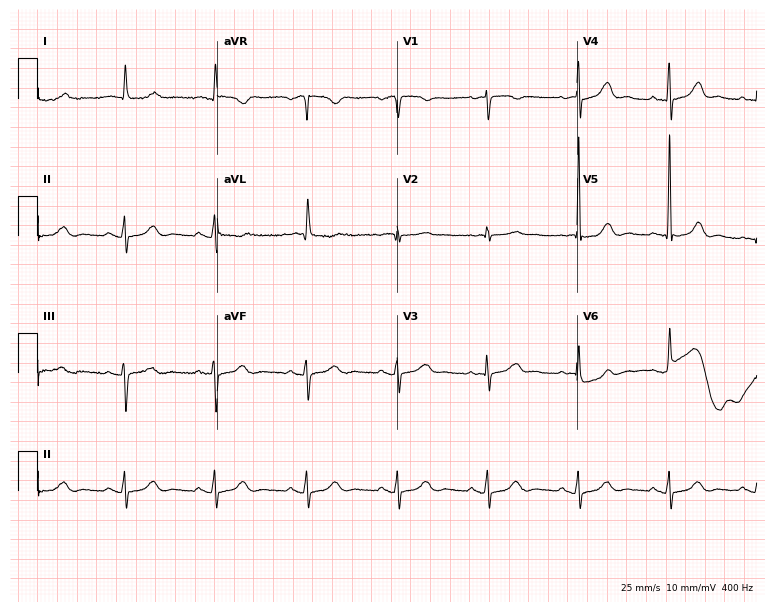
Resting 12-lead electrocardiogram. Patient: a 79-year-old female. None of these six findings is recorded: first-degree AV block, right bundle branch block, left bundle branch block, sinus bradycardia, atrial fibrillation, sinus tachycardia. Other findings, if any, are not listed.